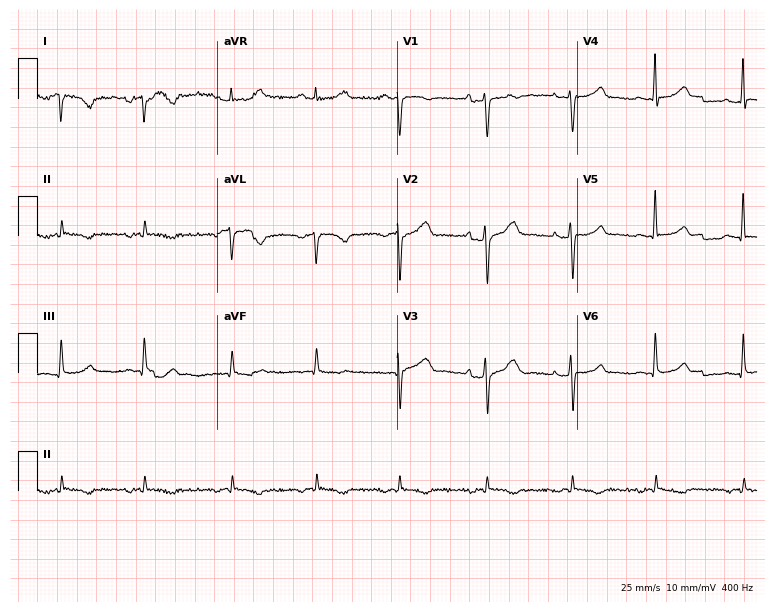
Standard 12-lead ECG recorded from a 34-year-old woman. None of these six findings is recorded: first-degree AV block, right bundle branch block (RBBB), left bundle branch block (LBBB), sinus bradycardia, atrial fibrillation (AF), sinus tachycardia.